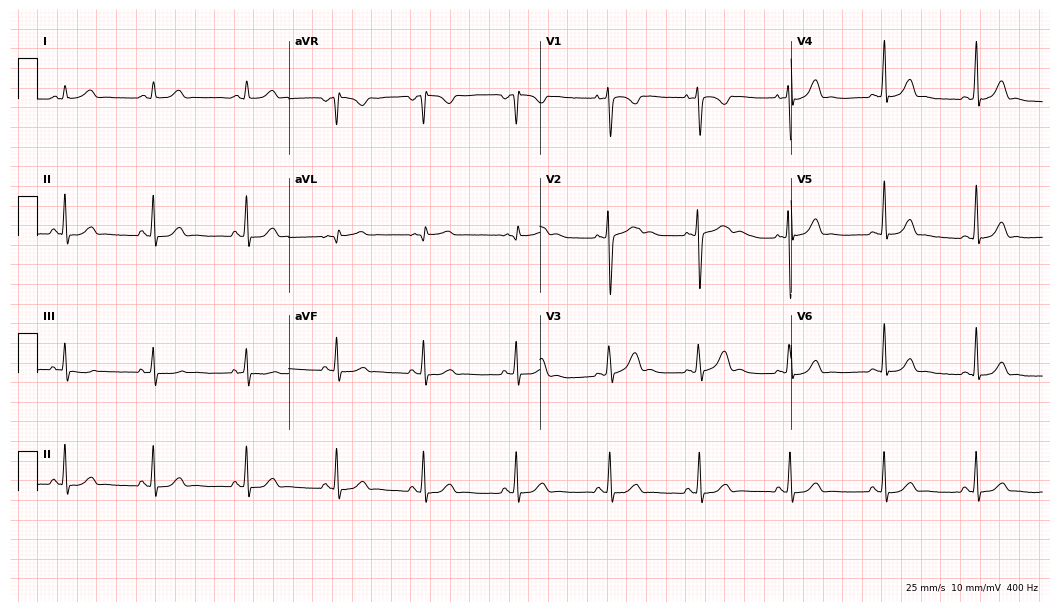
12-lead ECG (10.2-second recording at 400 Hz) from a woman, 32 years old. Labelled as a normal ECG.